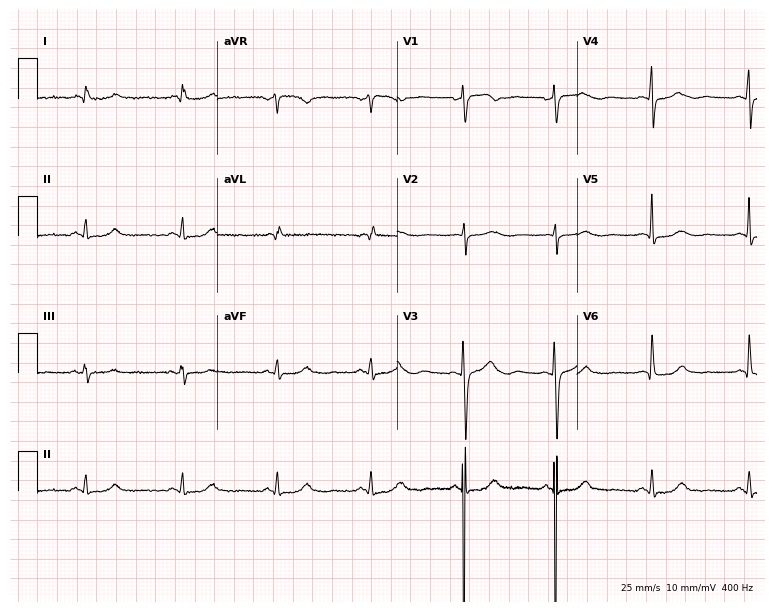
12-lead ECG from a 77-year-old female. Recorded interpretation: within normal limits.